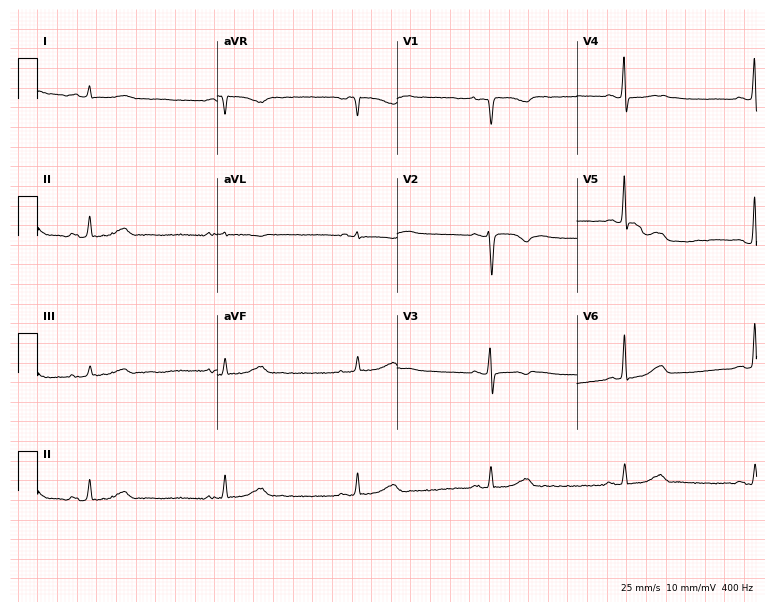
Standard 12-lead ECG recorded from a woman, 26 years old. The tracing shows sinus bradycardia (a sinus rate of 50 beats per minute or less).